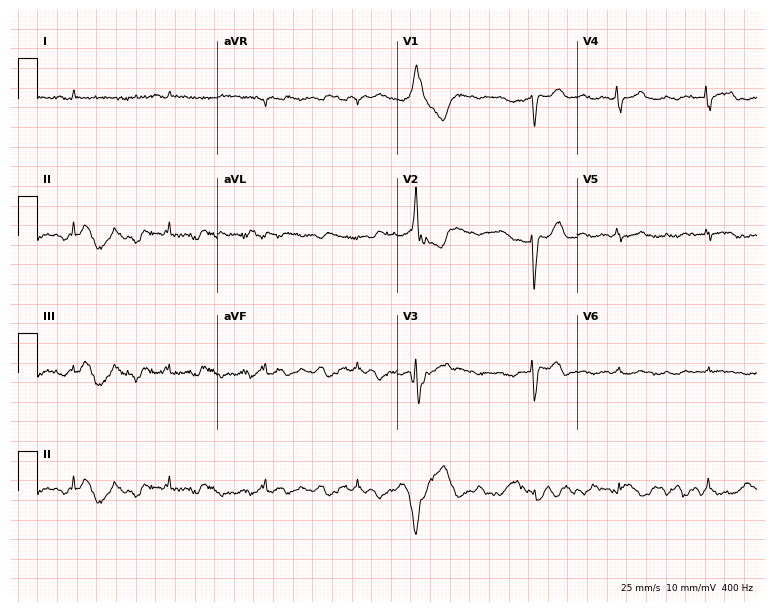
Resting 12-lead electrocardiogram (7.3-second recording at 400 Hz). Patient: a male, 65 years old. None of these six findings is recorded: first-degree AV block, right bundle branch block, left bundle branch block, sinus bradycardia, atrial fibrillation, sinus tachycardia.